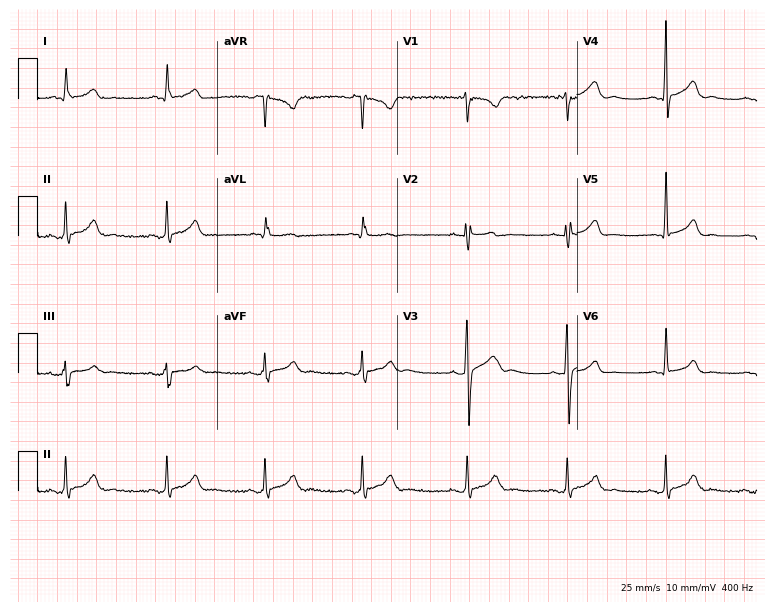
Standard 12-lead ECG recorded from a male patient, 23 years old. Read as a normal ECG.